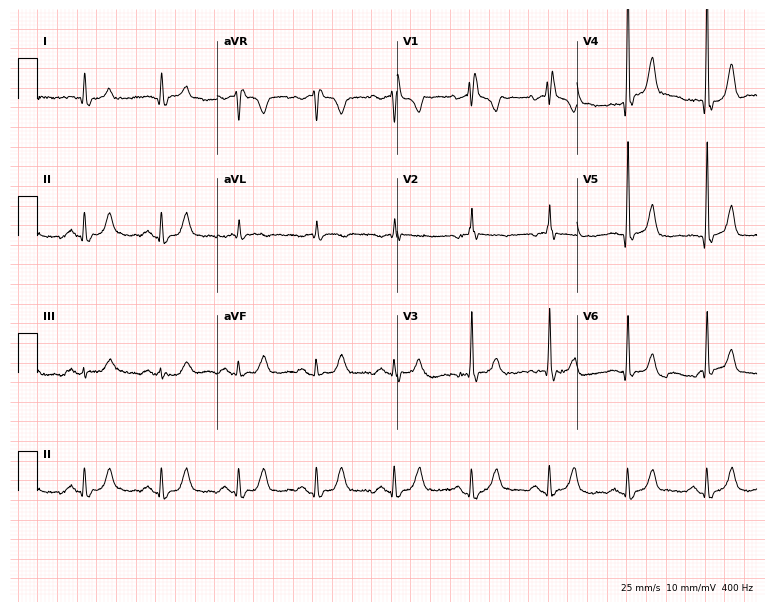
ECG (7.3-second recording at 400 Hz) — an 85-year-old male. Findings include right bundle branch block.